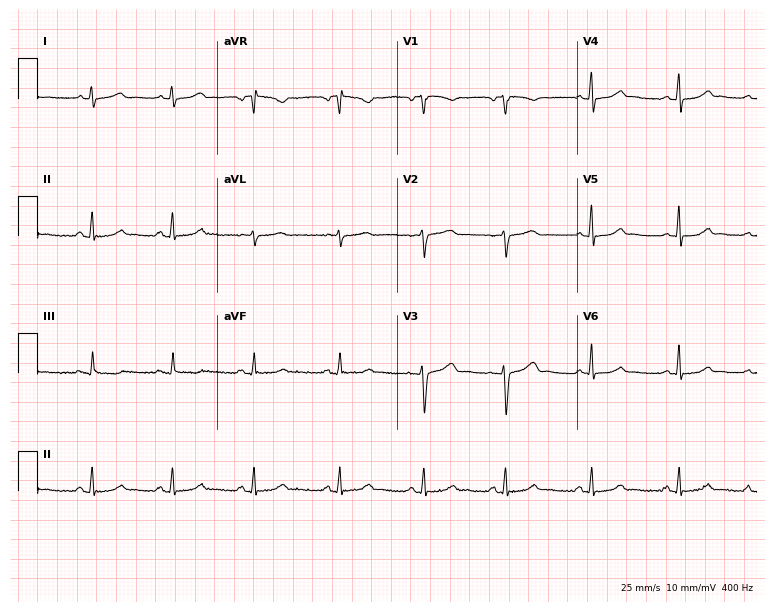
Electrocardiogram, a female, 42 years old. Of the six screened findings (first-degree AV block, right bundle branch block, left bundle branch block, sinus bradycardia, atrial fibrillation, sinus tachycardia), none is recorded. Other findings, if any, are not listed.